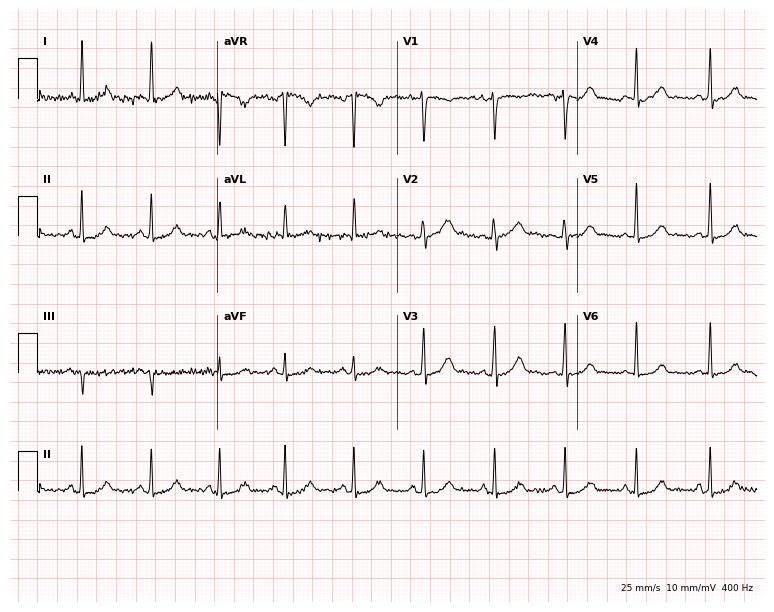
12-lead ECG from a 45-year-old woman. Recorded interpretation: within normal limits.